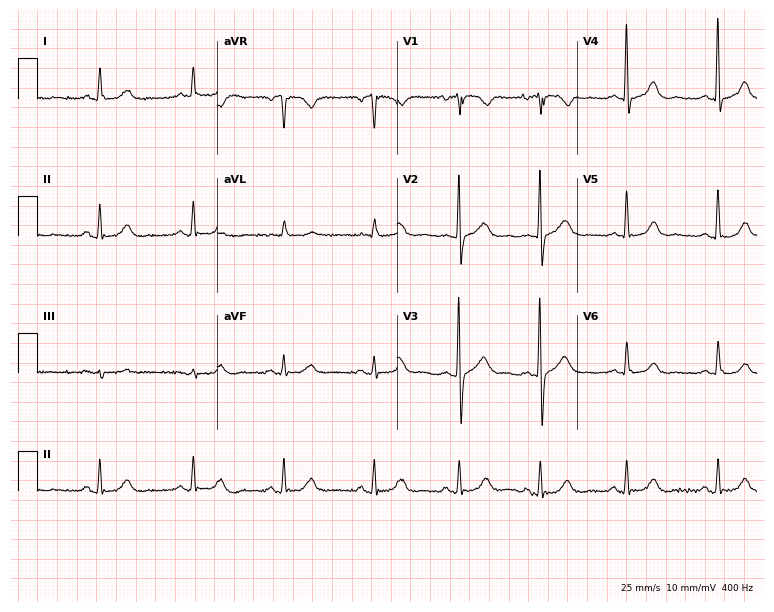
12-lead ECG from a man, 73 years old (7.3-second recording at 400 Hz). Recorded interpretation: within normal limits.